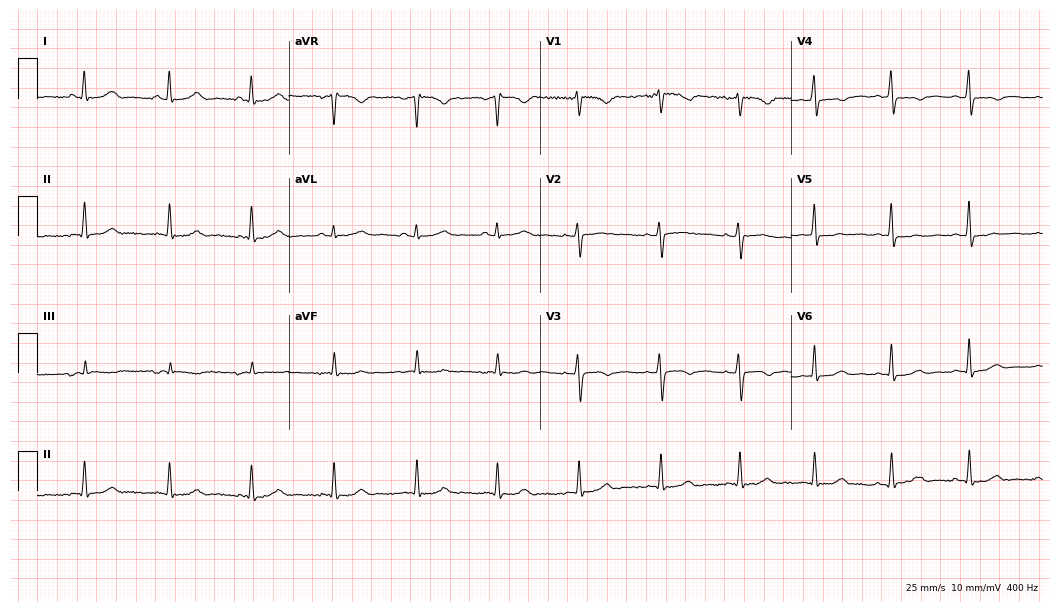
ECG — a female, 32 years old. Labelled as a normal ECG.